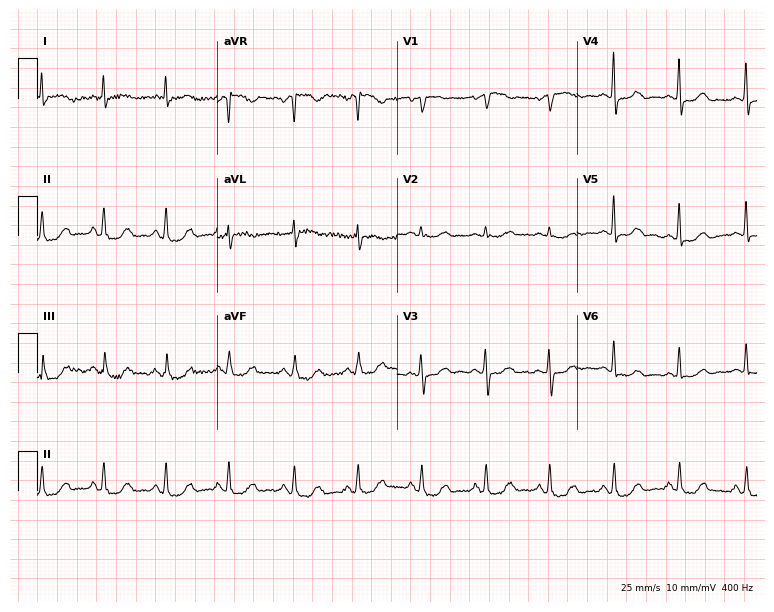
12-lead ECG from a female patient, 63 years old (7.3-second recording at 400 Hz). No first-degree AV block, right bundle branch block, left bundle branch block, sinus bradycardia, atrial fibrillation or sinus tachycardia recorded for this tracing.